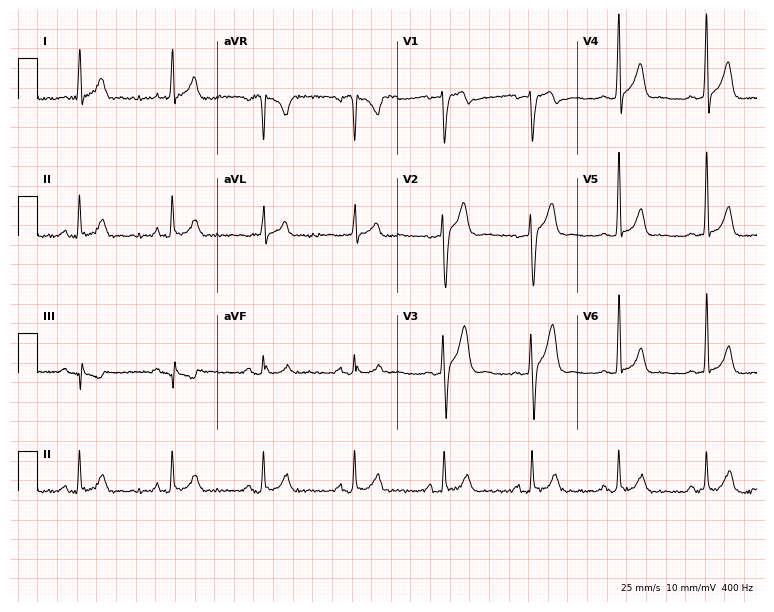
Electrocardiogram, a man, 37 years old. Overall reading on record: normal ECG.